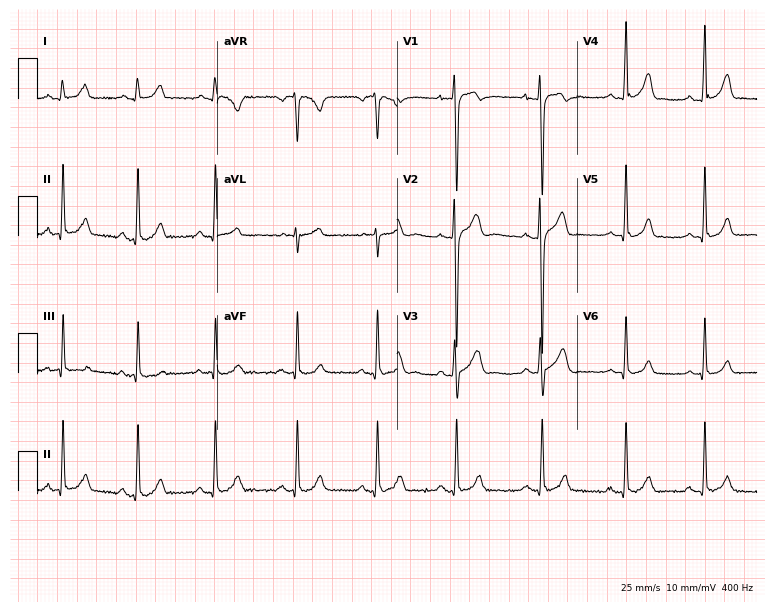
Electrocardiogram (7.3-second recording at 400 Hz), a man, 20 years old. Overall reading on record: normal ECG.